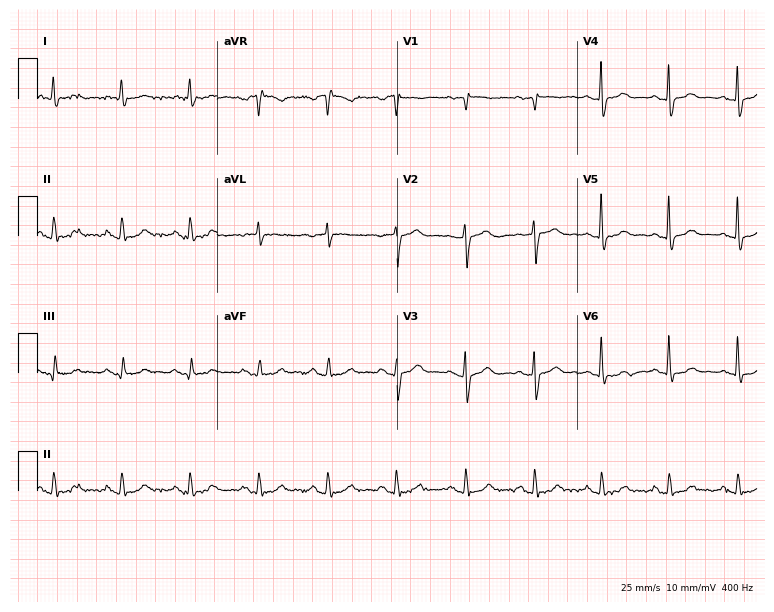
12-lead ECG from a male patient, 73 years old. No first-degree AV block, right bundle branch block, left bundle branch block, sinus bradycardia, atrial fibrillation or sinus tachycardia recorded for this tracing.